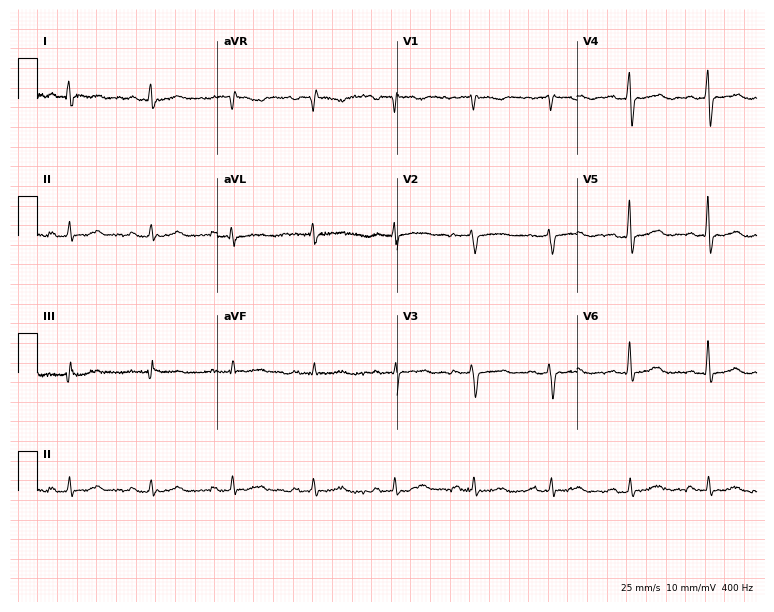
12-lead ECG from a 54-year-old female. No first-degree AV block, right bundle branch block, left bundle branch block, sinus bradycardia, atrial fibrillation or sinus tachycardia recorded for this tracing. Other findings, if any, are not listed.